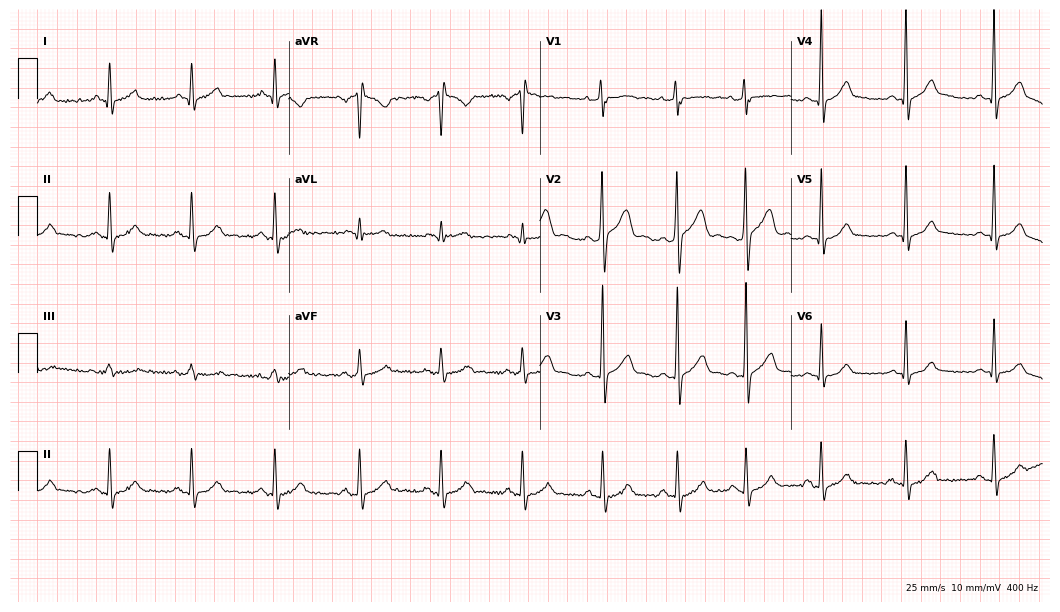
Resting 12-lead electrocardiogram (10.2-second recording at 400 Hz). Patient: a 37-year-old male. Read as a normal ECG.